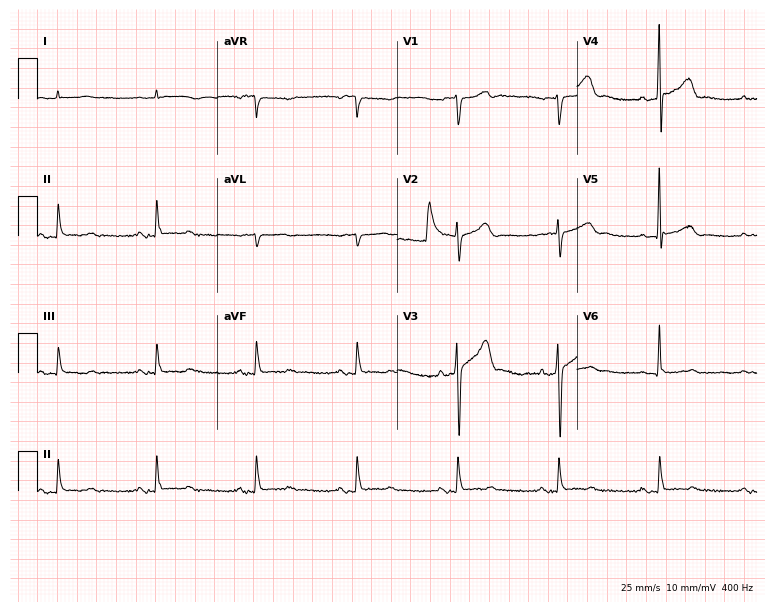
Electrocardiogram, a 77-year-old man. Of the six screened findings (first-degree AV block, right bundle branch block (RBBB), left bundle branch block (LBBB), sinus bradycardia, atrial fibrillation (AF), sinus tachycardia), none is recorded.